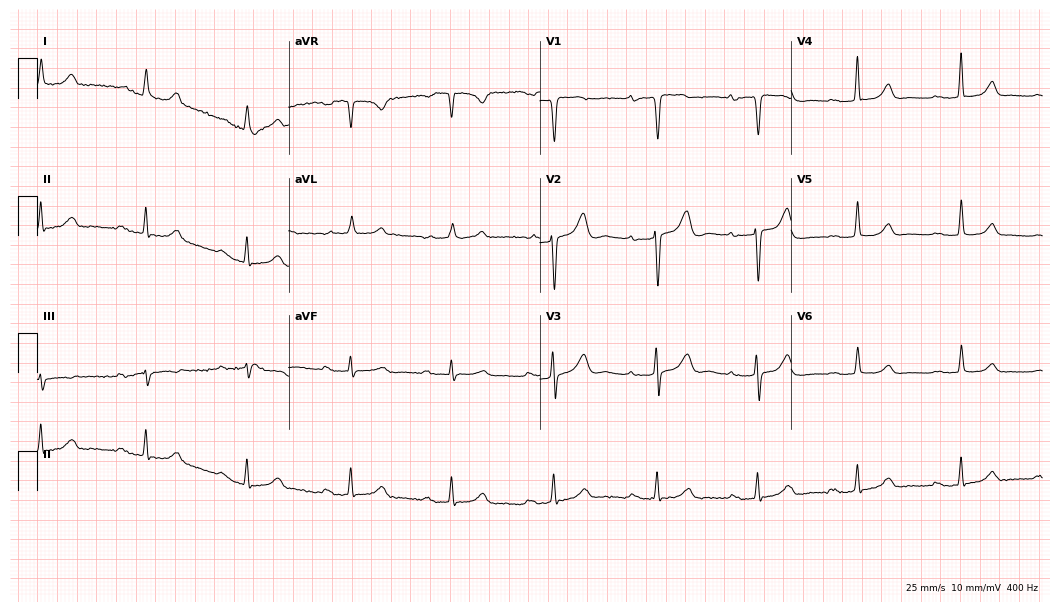
Resting 12-lead electrocardiogram (10.2-second recording at 400 Hz). Patient: a woman, 85 years old. The tracing shows first-degree AV block.